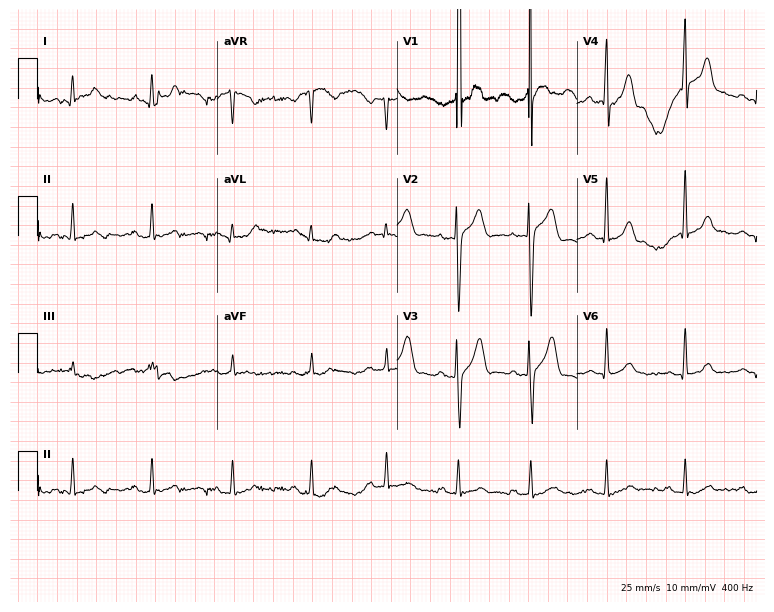
Resting 12-lead electrocardiogram. Patient: a male, 30 years old. None of these six findings is recorded: first-degree AV block, right bundle branch block, left bundle branch block, sinus bradycardia, atrial fibrillation, sinus tachycardia. Only these six findings were labelled.